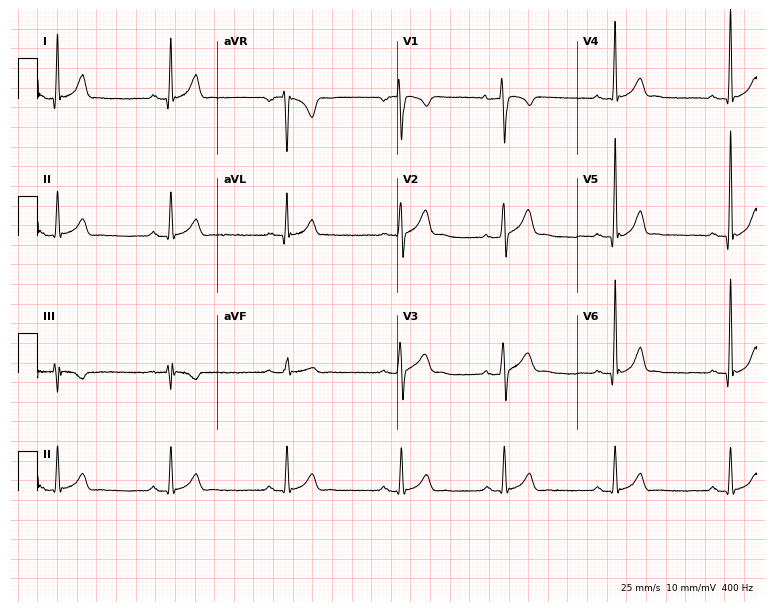
12-lead ECG from a male patient, 24 years old (7.3-second recording at 400 Hz). Recorded interpretation: within normal limits.